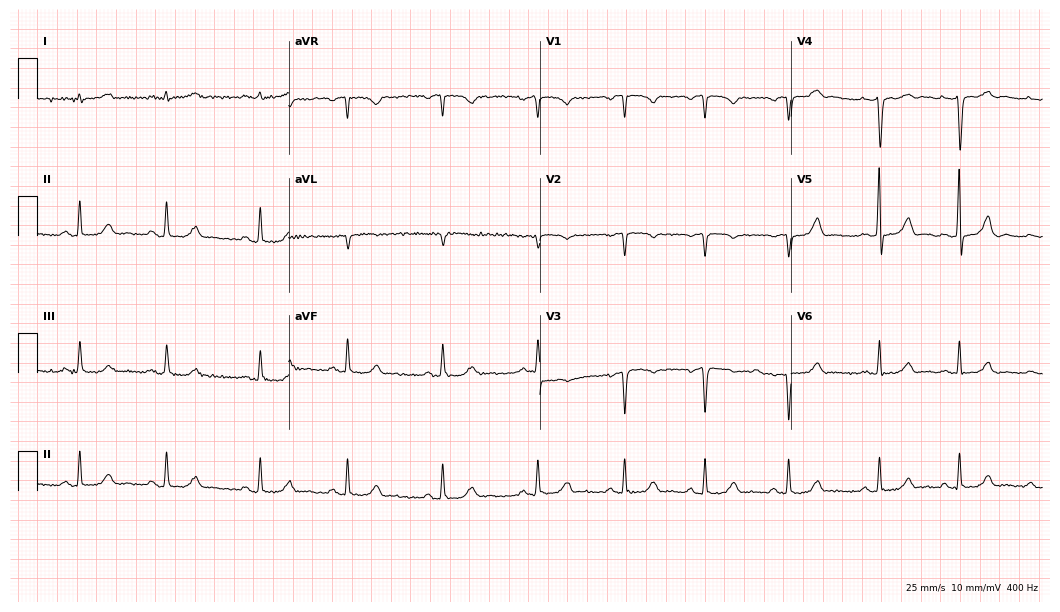
12-lead ECG (10.2-second recording at 400 Hz) from a 40-year-old woman. Screened for six findings — first-degree AV block, right bundle branch block, left bundle branch block, sinus bradycardia, atrial fibrillation, sinus tachycardia — none is recorded.